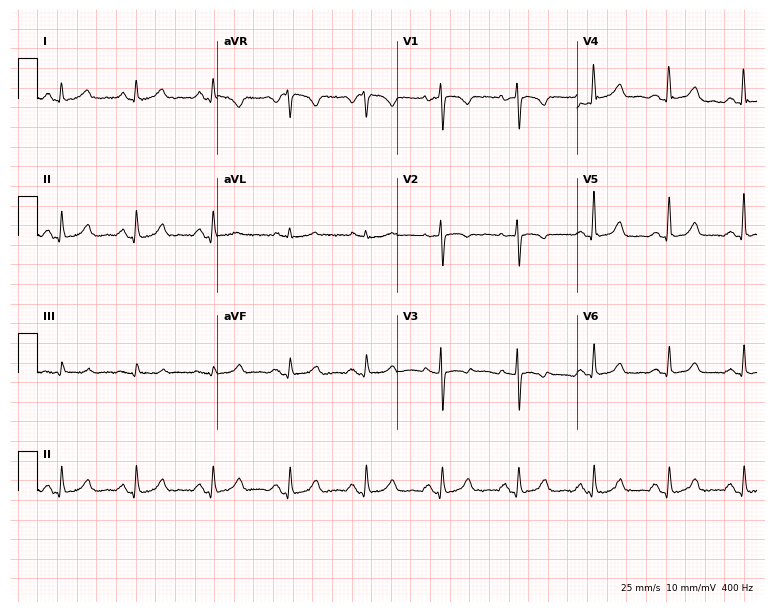
Standard 12-lead ECG recorded from a female patient, 58 years old (7.3-second recording at 400 Hz). None of these six findings is recorded: first-degree AV block, right bundle branch block, left bundle branch block, sinus bradycardia, atrial fibrillation, sinus tachycardia.